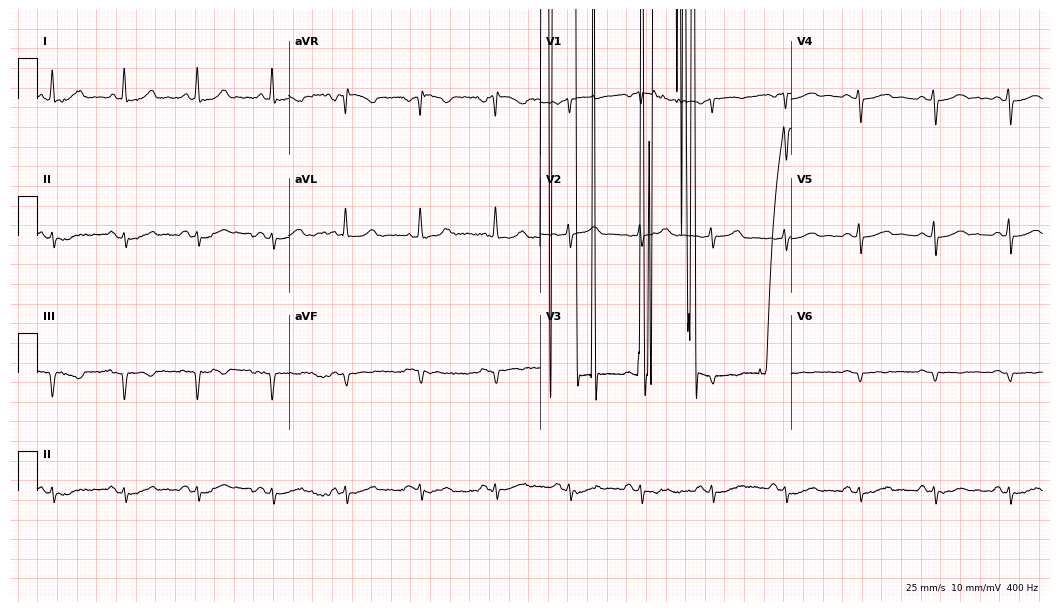
Standard 12-lead ECG recorded from a 49-year-old female. None of these six findings is recorded: first-degree AV block, right bundle branch block (RBBB), left bundle branch block (LBBB), sinus bradycardia, atrial fibrillation (AF), sinus tachycardia.